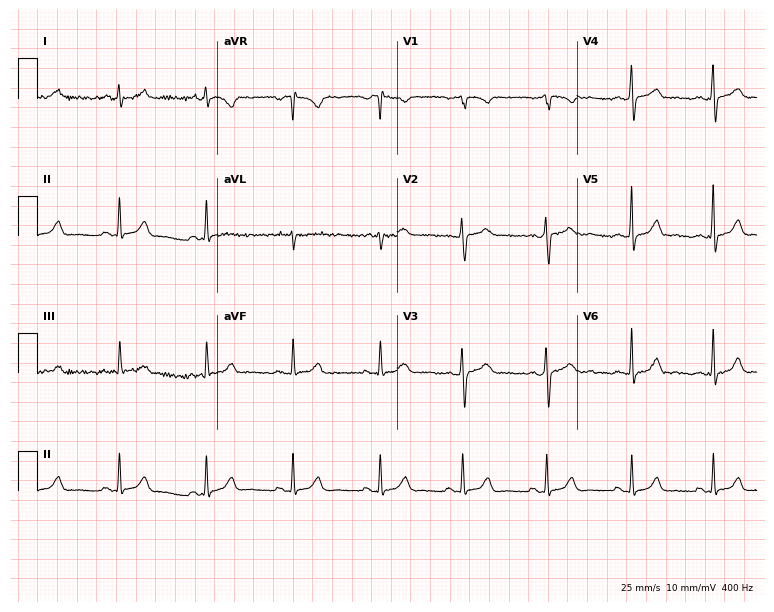
Standard 12-lead ECG recorded from a 24-year-old woman. Read as a normal ECG.